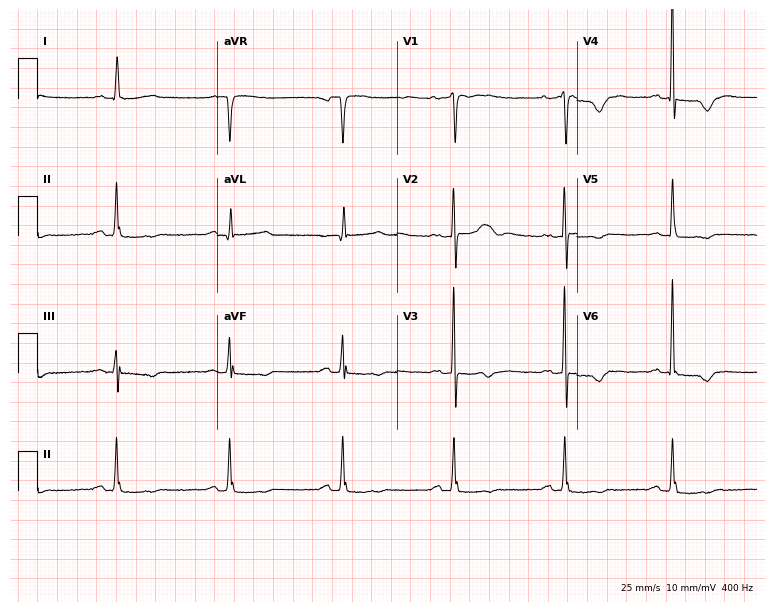
ECG (7.3-second recording at 400 Hz) — a 79-year-old female patient. Screened for six findings — first-degree AV block, right bundle branch block, left bundle branch block, sinus bradycardia, atrial fibrillation, sinus tachycardia — none is recorded.